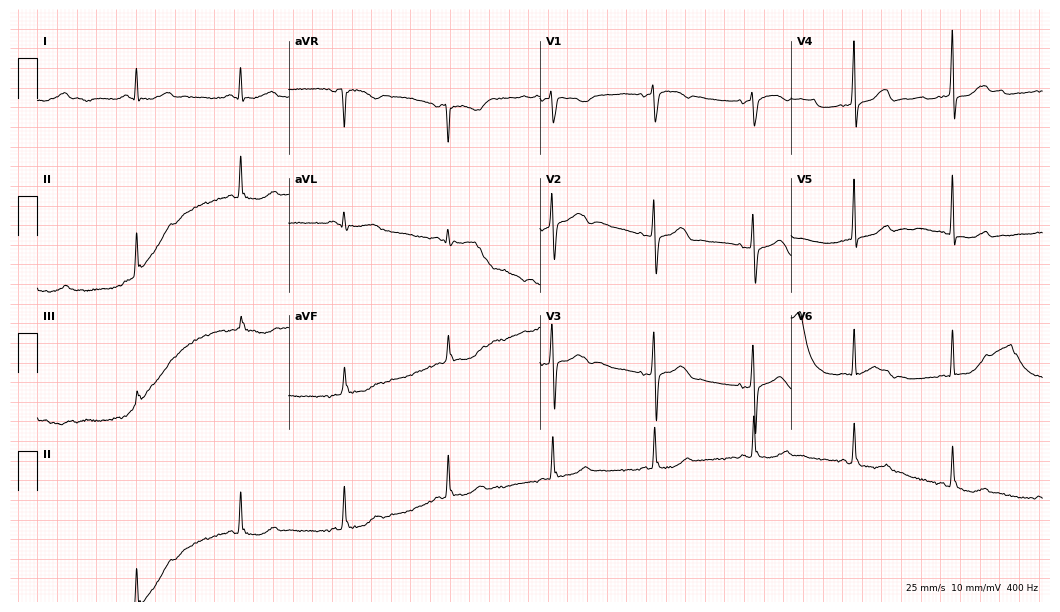
ECG — a 70-year-old woman. Labelled as a normal ECG.